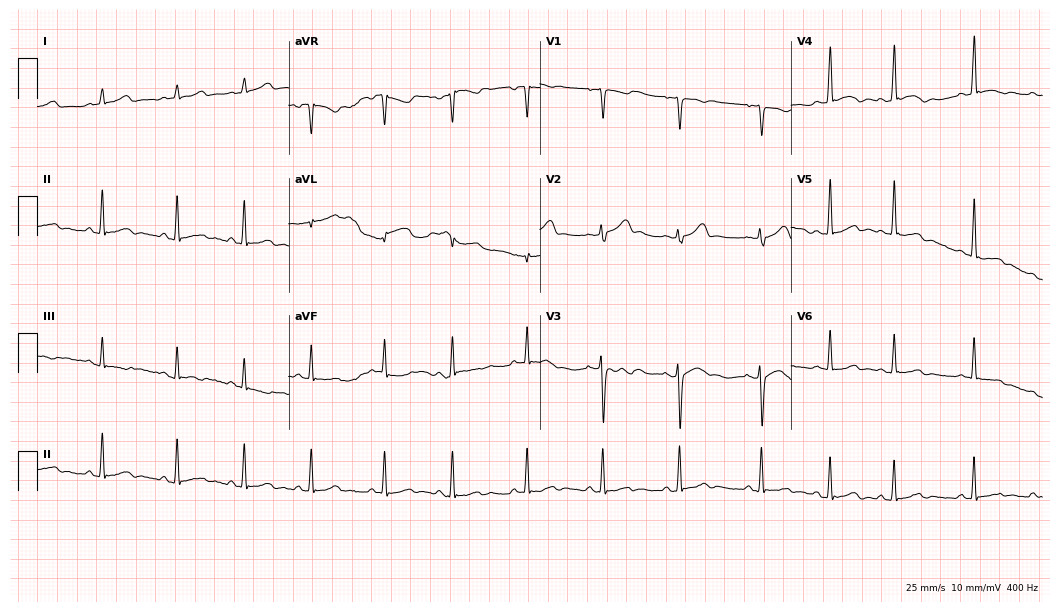
Standard 12-lead ECG recorded from a 21-year-old man (10.2-second recording at 400 Hz). None of these six findings is recorded: first-degree AV block, right bundle branch block, left bundle branch block, sinus bradycardia, atrial fibrillation, sinus tachycardia.